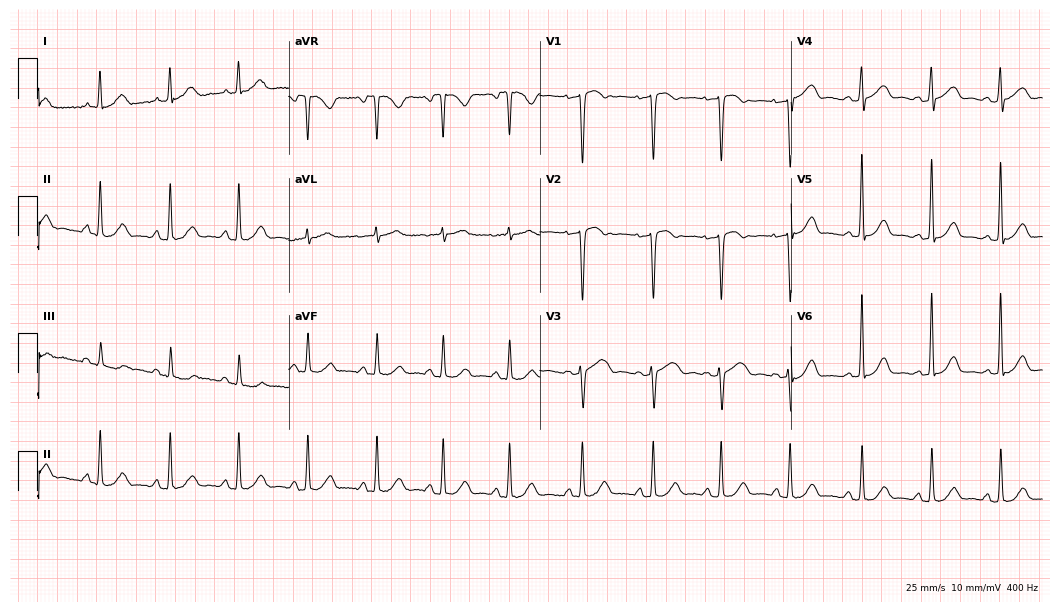
12-lead ECG (10.2-second recording at 400 Hz) from a female, 50 years old. Screened for six findings — first-degree AV block, right bundle branch block, left bundle branch block, sinus bradycardia, atrial fibrillation, sinus tachycardia — none is recorded.